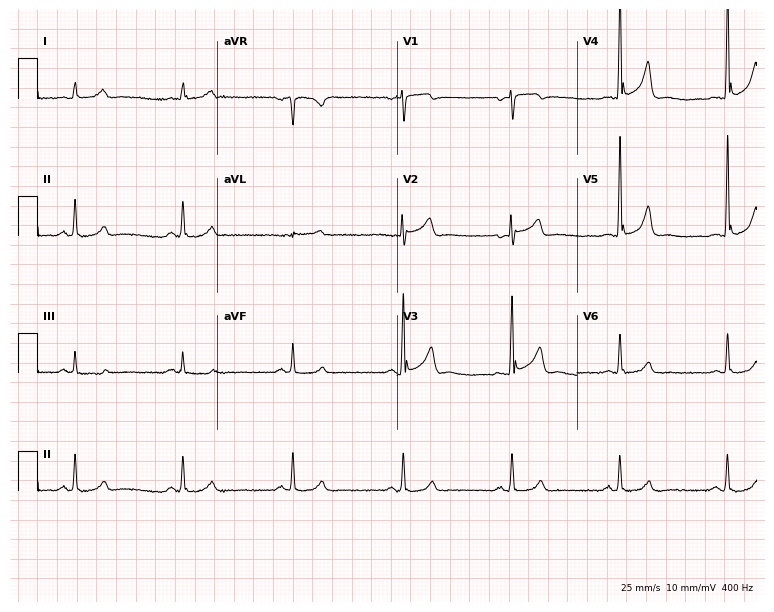
Electrocardiogram (7.3-second recording at 400 Hz), a man, 59 years old. Of the six screened findings (first-degree AV block, right bundle branch block, left bundle branch block, sinus bradycardia, atrial fibrillation, sinus tachycardia), none is recorded. Findings outside these six are not listed.